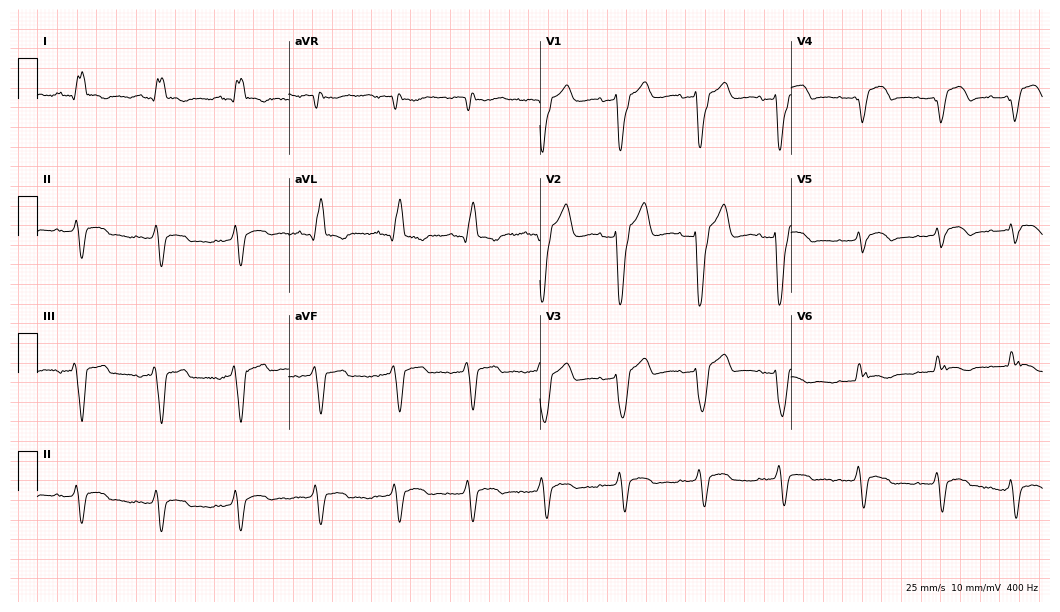
12-lead ECG (10.2-second recording at 400 Hz) from a female, 79 years old. Findings include left bundle branch block.